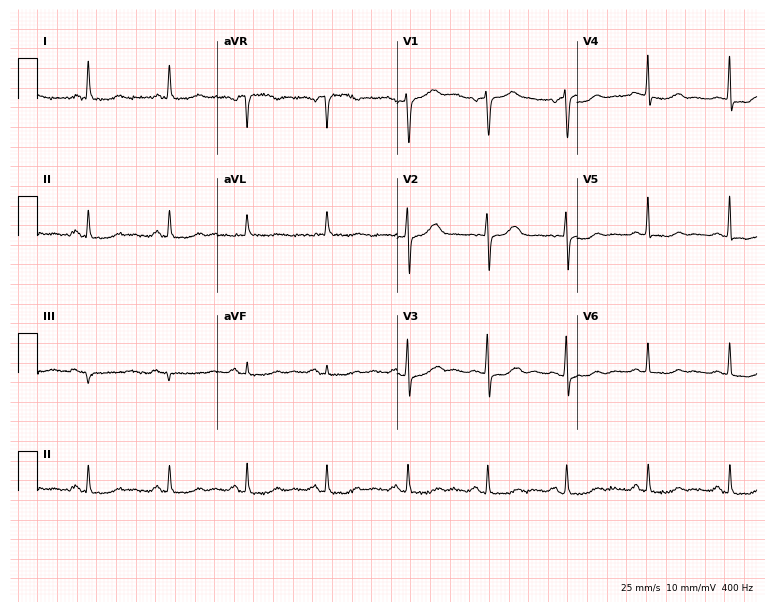
12-lead ECG (7.3-second recording at 400 Hz) from a woman, 66 years old. Screened for six findings — first-degree AV block, right bundle branch block, left bundle branch block, sinus bradycardia, atrial fibrillation, sinus tachycardia — none is recorded.